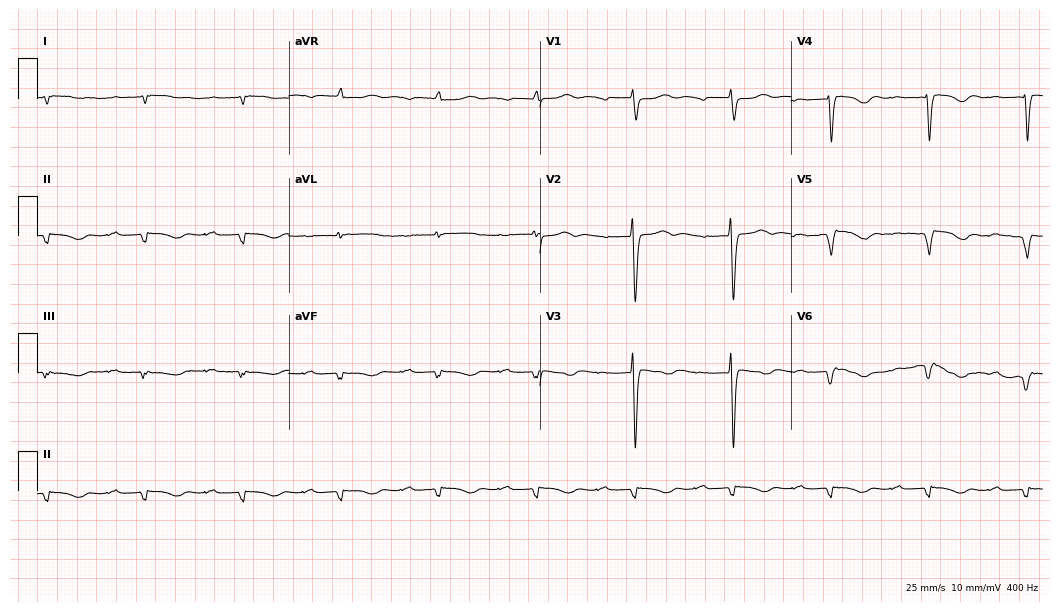
12-lead ECG from a woman, 66 years old (10.2-second recording at 400 Hz). No first-degree AV block, right bundle branch block, left bundle branch block, sinus bradycardia, atrial fibrillation or sinus tachycardia recorded for this tracing. Findings outside these six are not listed.